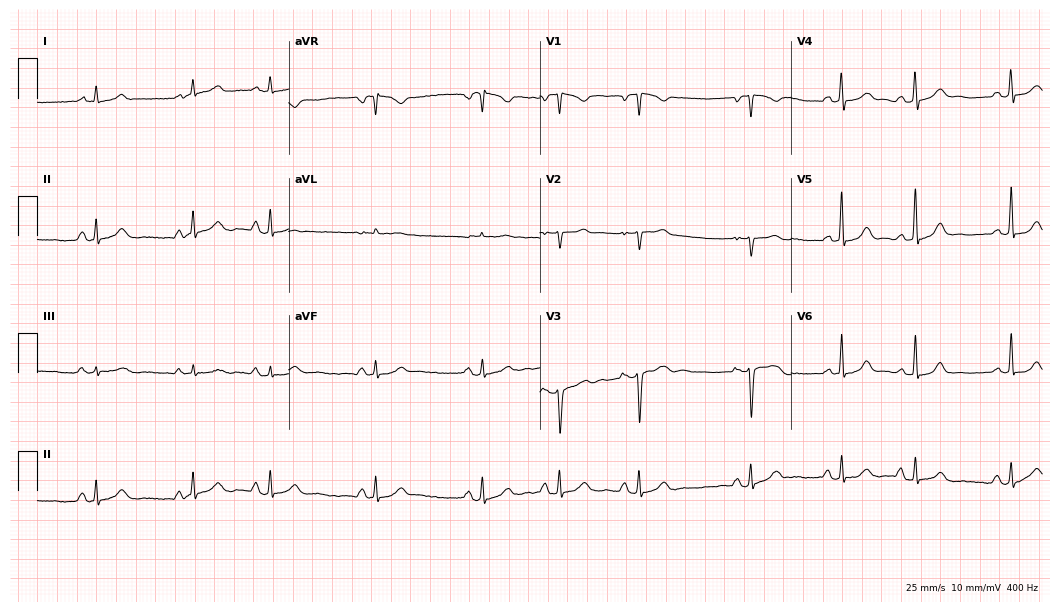
12-lead ECG from a female, 44 years old. No first-degree AV block, right bundle branch block, left bundle branch block, sinus bradycardia, atrial fibrillation or sinus tachycardia recorded for this tracing. Other findings, if any, are not listed.